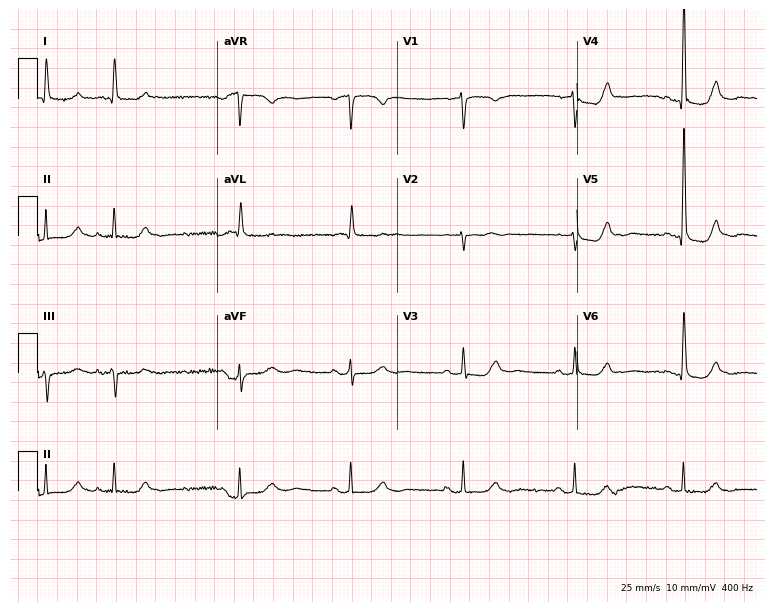
12-lead ECG from a 77-year-old woman. Screened for six findings — first-degree AV block, right bundle branch block, left bundle branch block, sinus bradycardia, atrial fibrillation, sinus tachycardia — none is recorded. Only these six findings were labelled.